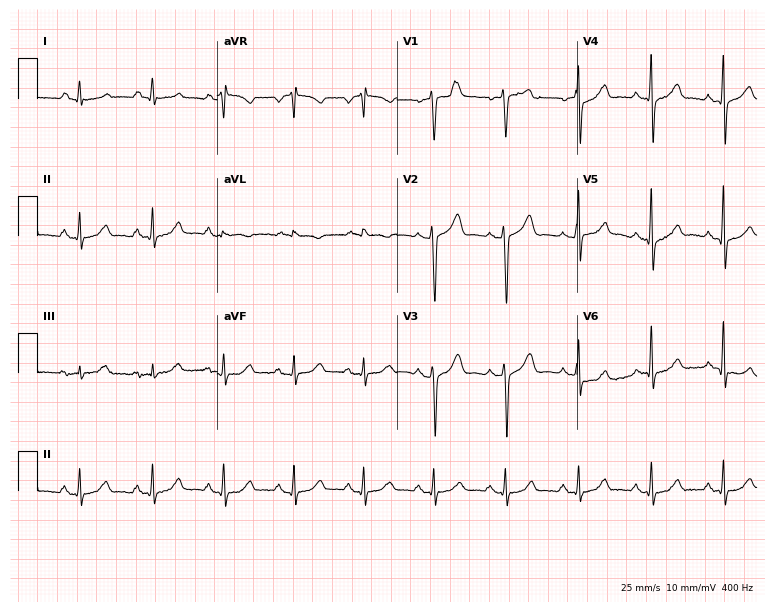
Electrocardiogram (7.3-second recording at 400 Hz), a 54-year-old male patient. Of the six screened findings (first-degree AV block, right bundle branch block (RBBB), left bundle branch block (LBBB), sinus bradycardia, atrial fibrillation (AF), sinus tachycardia), none is recorded.